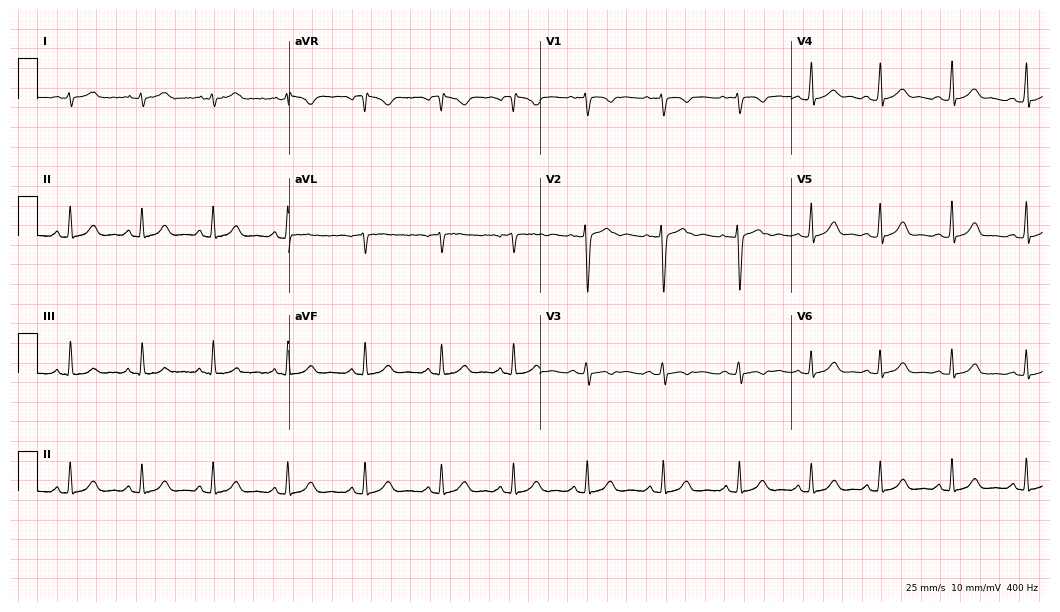
12-lead ECG from a female, 22 years old. No first-degree AV block, right bundle branch block, left bundle branch block, sinus bradycardia, atrial fibrillation or sinus tachycardia recorded for this tracing.